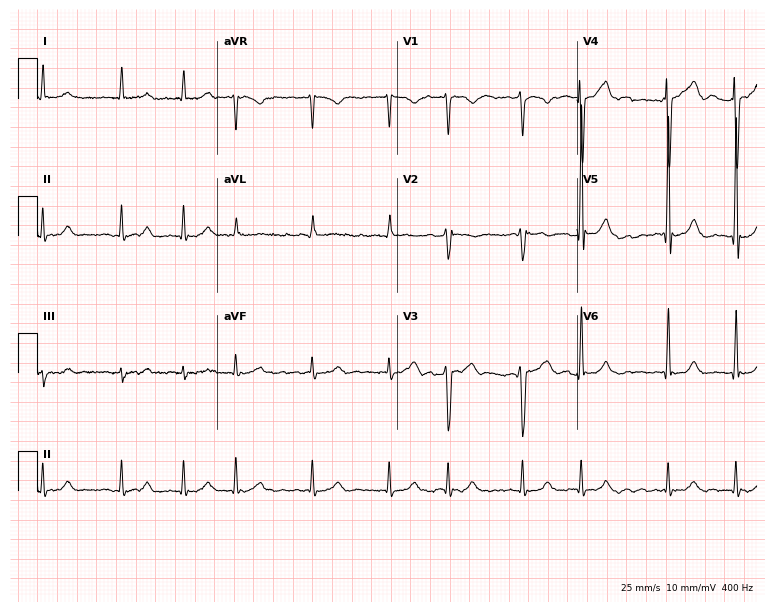
12-lead ECG from a male patient, 84 years old (7.3-second recording at 400 Hz). Shows atrial fibrillation (AF).